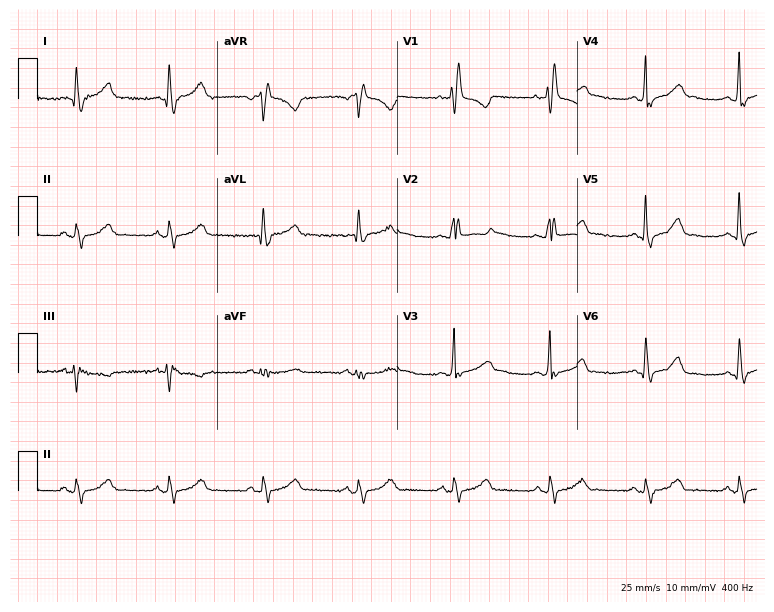
ECG — a female, 45 years old. Findings include right bundle branch block (RBBB).